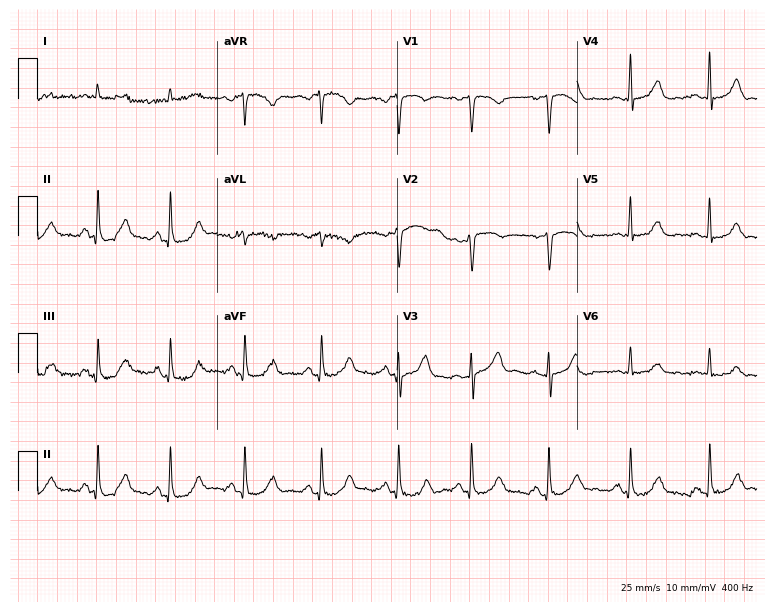
Standard 12-lead ECG recorded from a male, 55 years old (7.3-second recording at 400 Hz). Read as a normal ECG.